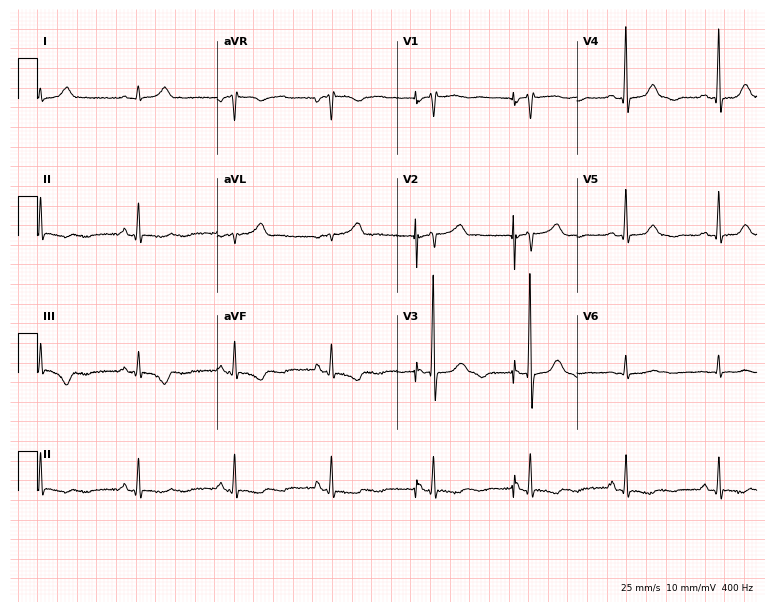
12-lead ECG (7.3-second recording at 400 Hz) from a 75-year-old female patient. Screened for six findings — first-degree AV block, right bundle branch block (RBBB), left bundle branch block (LBBB), sinus bradycardia, atrial fibrillation (AF), sinus tachycardia — none is recorded. Findings outside these six are not listed.